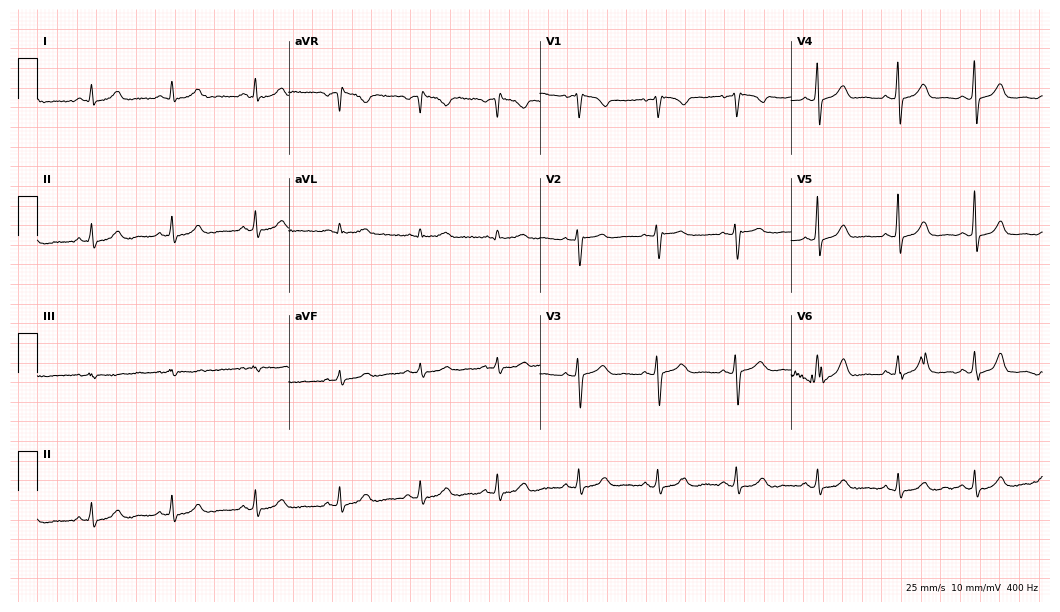
ECG — a woman, 33 years old. Labelled as a normal ECG.